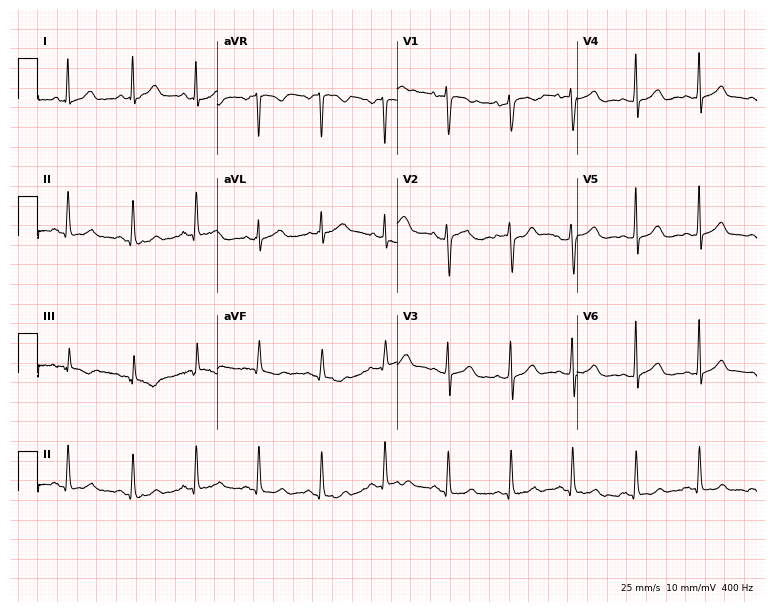
ECG (7.3-second recording at 400 Hz) — a 59-year-old female. Screened for six findings — first-degree AV block, right bundle branch block, left bundle branch block, sinus bradycardia, atrial fibrillation, sinus tachycardia — none is recorded. Findings outside these six are not listed.